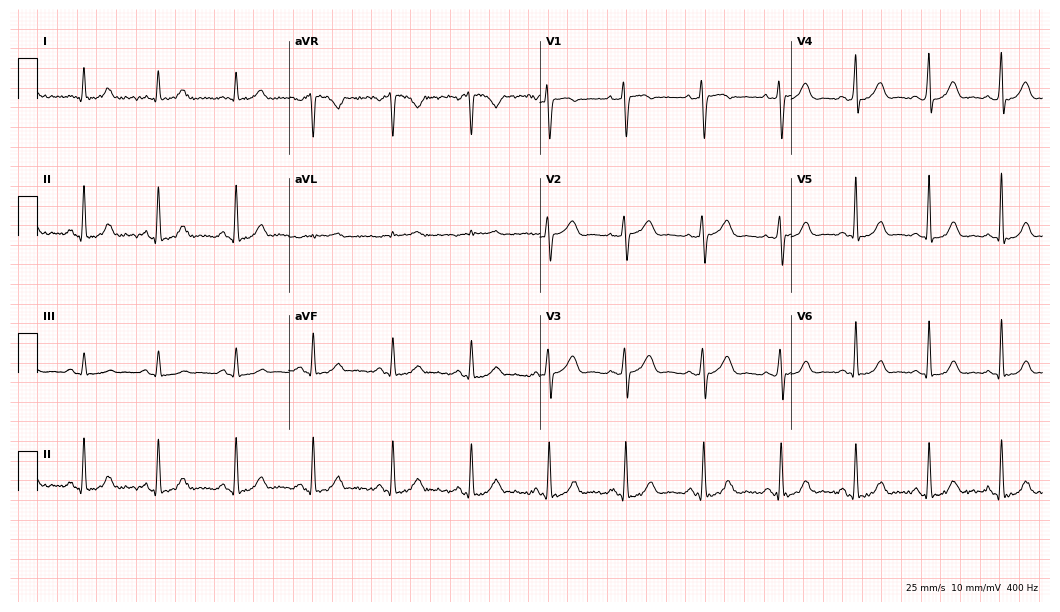
12-lead ECG from a 49-year-old female patient. Recorded interpretation: within normal limits.